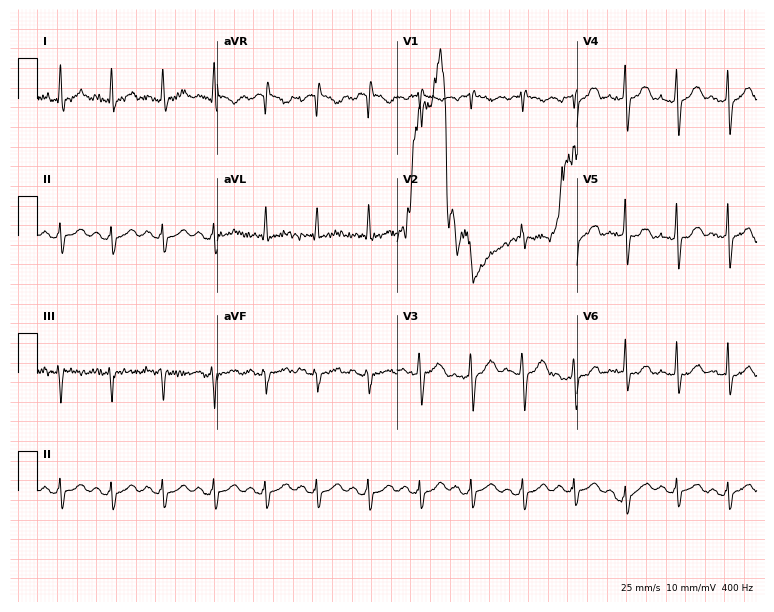
12-lead ECG (7.3-second recording at 400 Hz) from a male patient, 62 years old. Findings include sinus tachycardia (a sinus rate of 100 beats per minute or more).